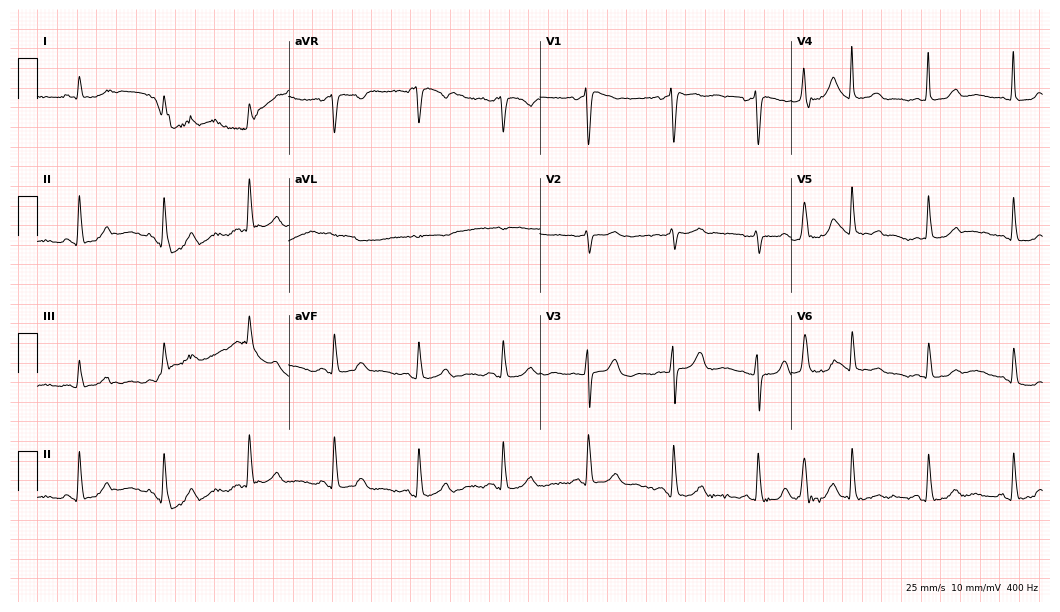
12-lead ECG (10.2-second recording at 400 Hz) from an 82-year-old woman. Labelled as a normal ECG.